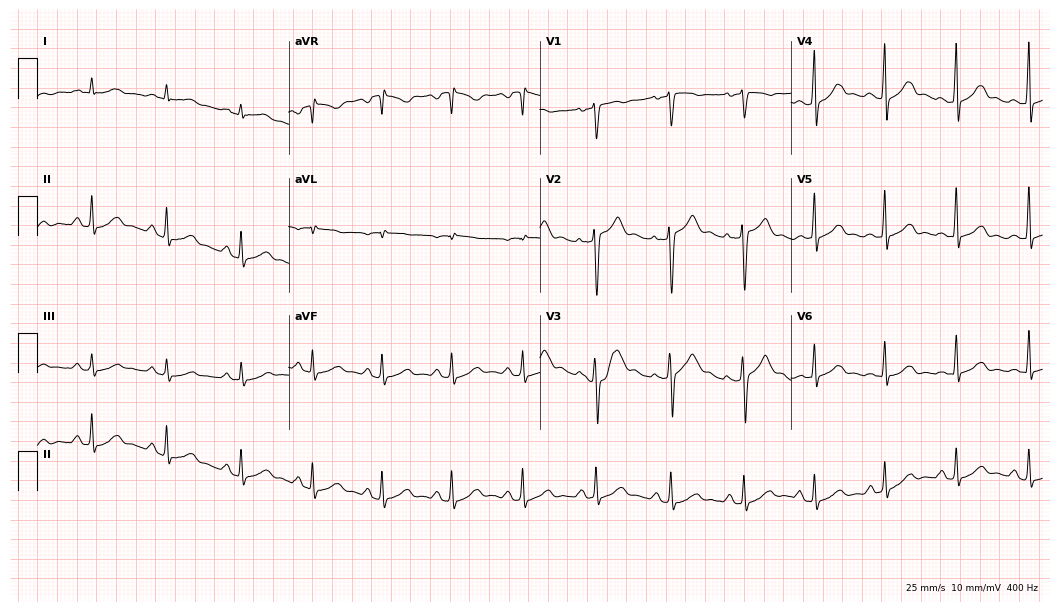
ECG — a male, 32 years old. Labelled as a normal ECG.